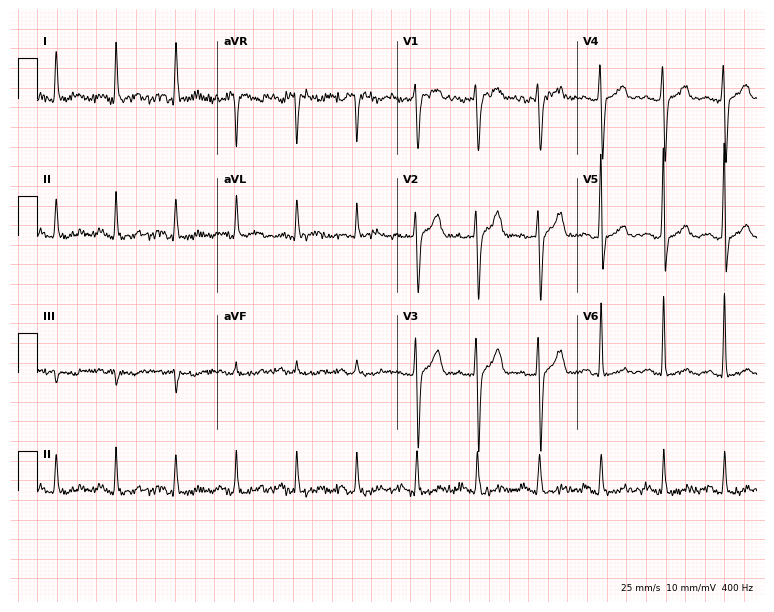
ECG (7.3-second recording at 400 Hz) — a 45-year-old male. Screened for six findings — first-degree AV block, right bundle branch block, left bundle branch block, sinus bradycardia, atrial fibrillation, sinus tachycardia — none is recorded.